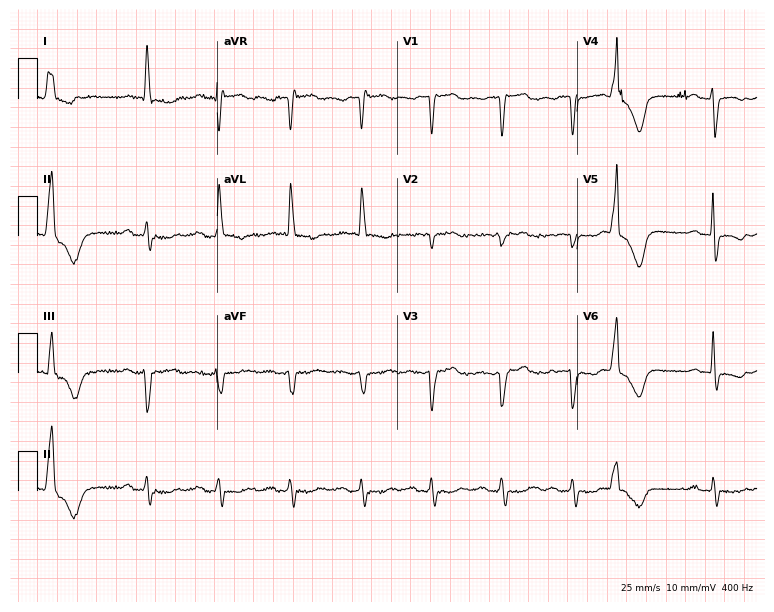
12-lead ECG (7.3-second recording at 400 Hz) from a 71-year-old female patient. Screened for six findings — first-degree AV block, right bundle branch block, left bundle branch block, sinus bradycardia, atrial fibrillation, sinus tachycardia — none is recorded.